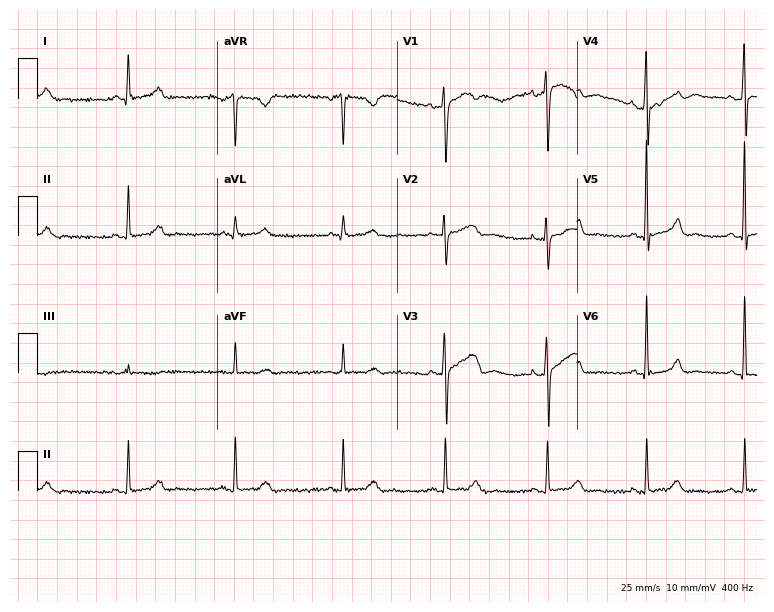
Resting 12-lead electrocardiogram (7.3-second recording at 400 Hz). Patient: a 49-year-old female. Read as a normal ECG.